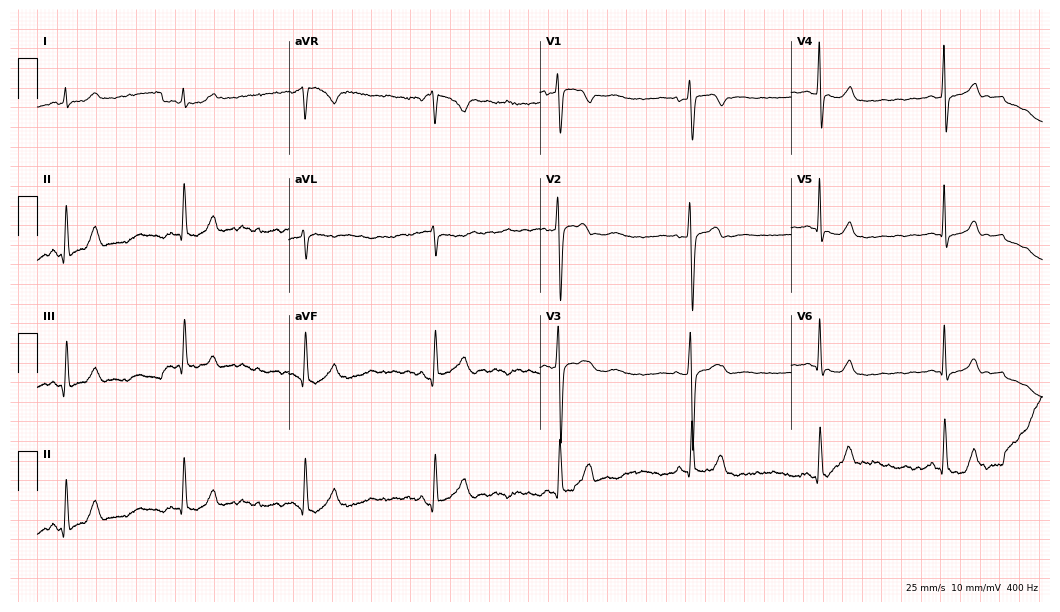
ECG (10.2-second recording at 400 Hz) — a 38-year-old man. Screened for six findings — first-degree AV block, right bundle branch block (RBBB), left bundle branch block (LBBB), sinus bradycardia, atrial fibrillation (AF), sinus tachycardia — none is recorded. Other findings, if any, are not listed.